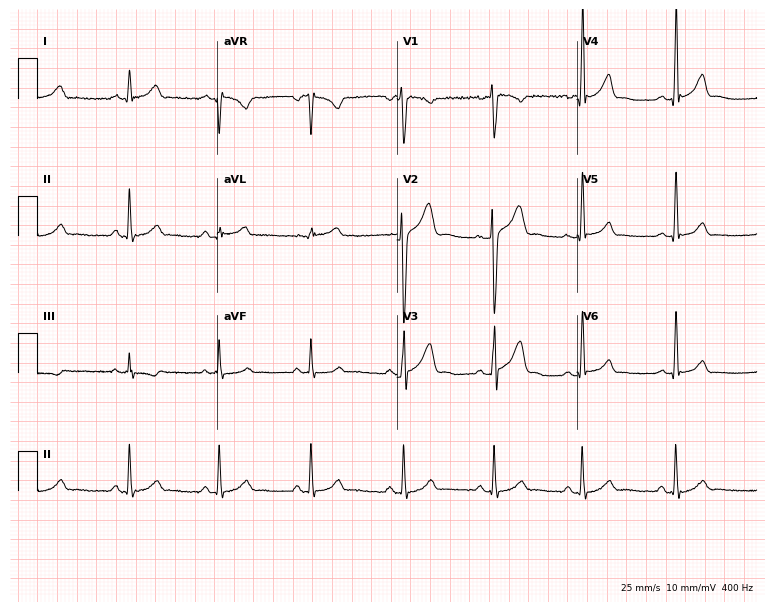
ECG (7.3-second recording at 400 Hz) — a male patient, 24 years old. Labelled as a normal ECG.